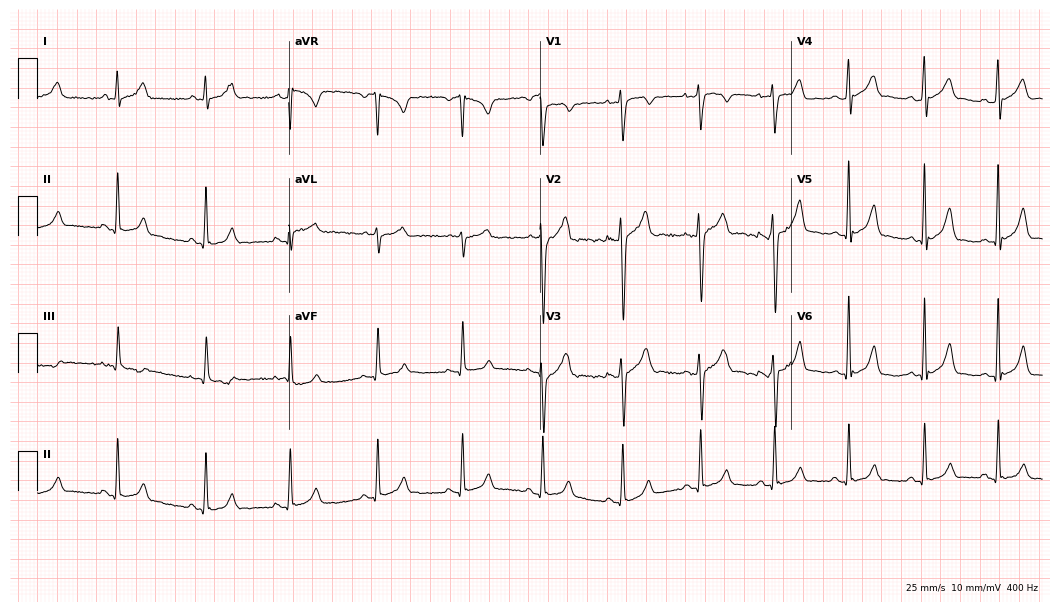
12-lead ECG from a man, 26 years old. Recorded interpretation: within normal limits.